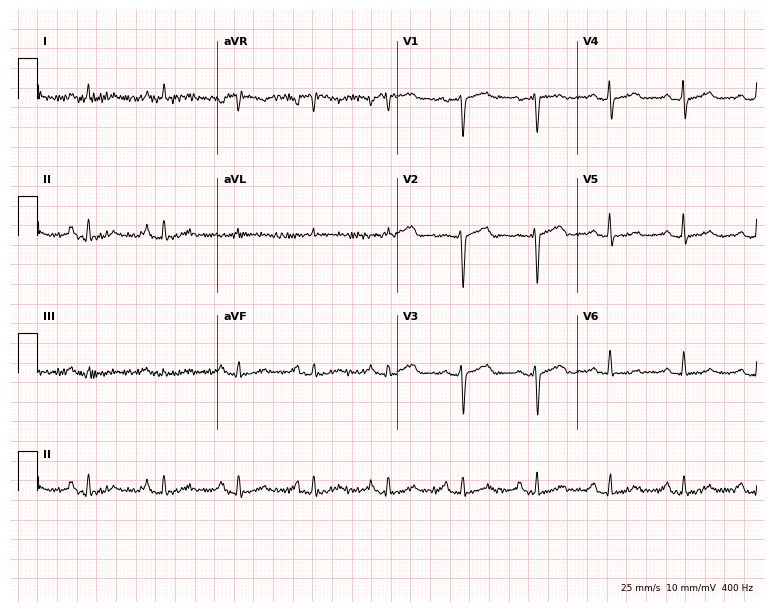
ECG — a female, 57 years old. Screened for six findings — first-degree AV block, right bundle branch block, left bundle branch block, sinus bradycardia, atrial fibrillation, sinus tachycardia — none is recorded. Findings outside these six are not listed.